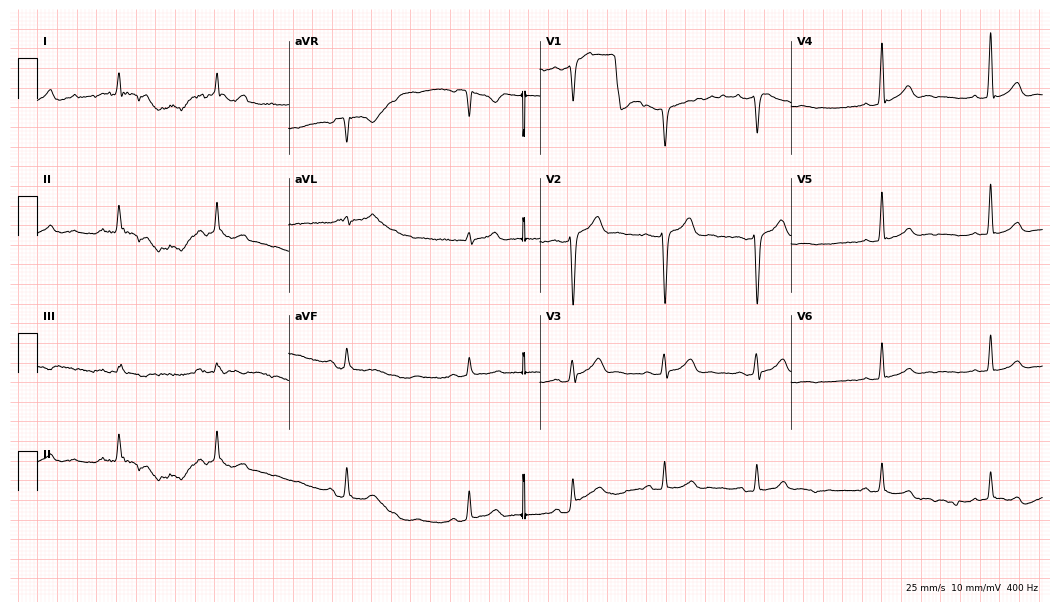
Resting 12-lead electrocardiogram. Patient: a male, 30 years old. None of these six findings is recorded: first-degree AV block, right bundle branch block, left bundle branch block, sinus bradycardia, atrial fibrillation, sinus tachycardia.